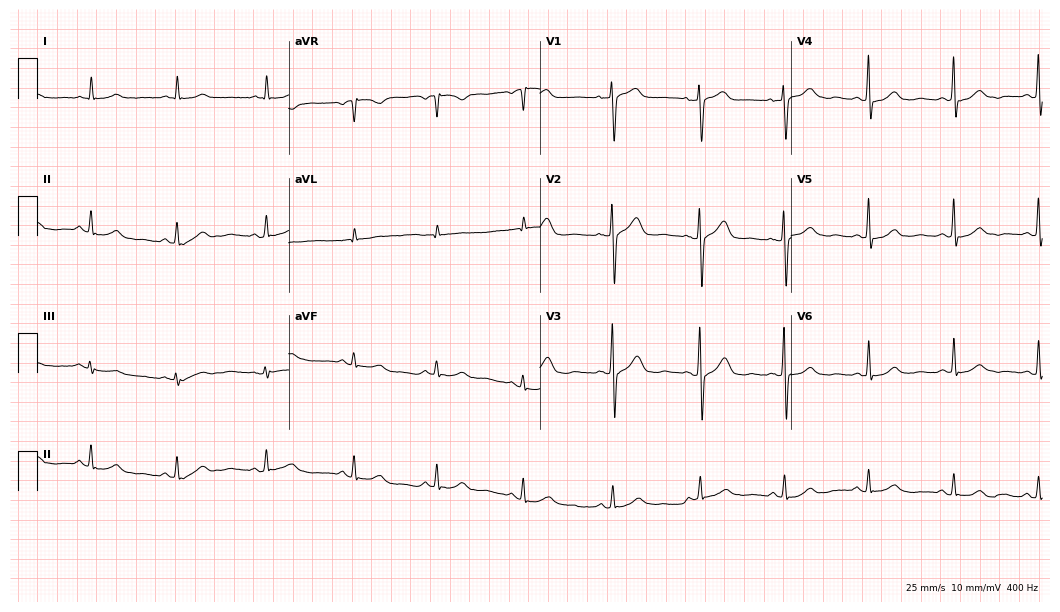
Resting 12-lead electrocardiogram (10.2-second recording at 400 Hz). Patient: a 64-year-old woman. Read as a normal ECG.